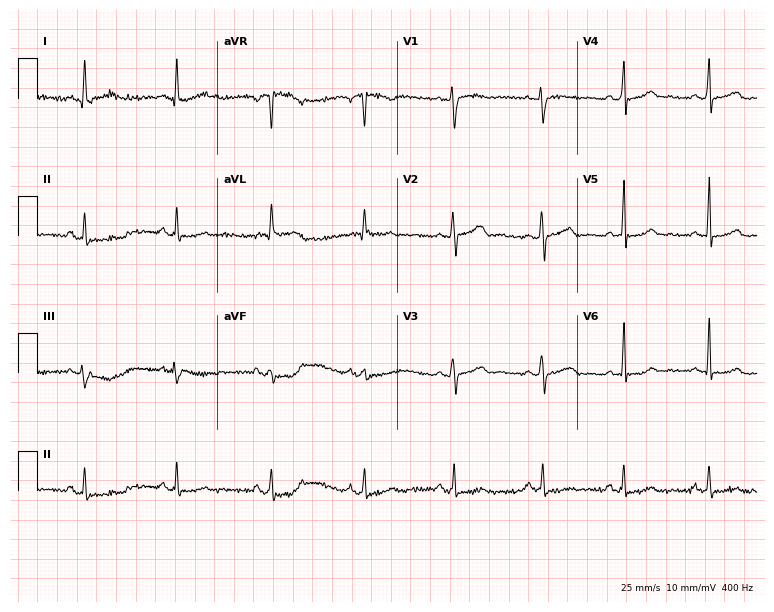
Resting 12-lead electrocardiogram (7.3-second recording at 400 Hz). Patient: a 39-year-old woman. None of these six findings is recorded: first-degree AV block, right bundle branch block, left bundle branch block, sinus bradycardia, atrial fibrillation, sinus tachycardia. Other findings, if any, are not listed.